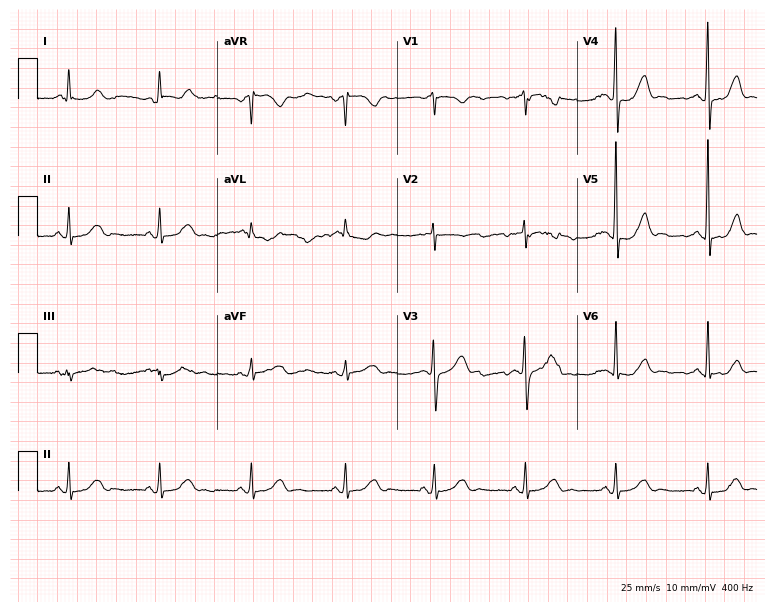
12-lead ECG (7.3-second recording at 400 Hz) from a man, 46 years old. Labelled as a normal ECG.